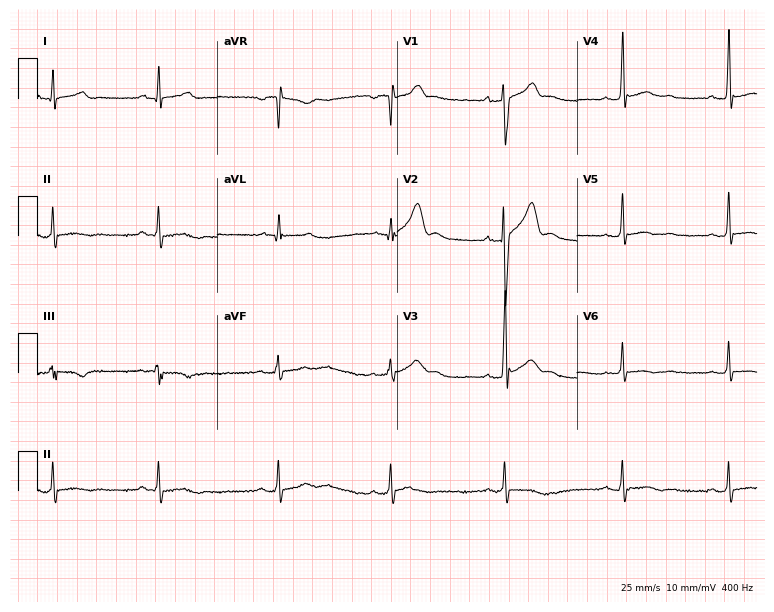
12-lead ECG (7.3-second recording at 400 Hz) from a male patient, 20 years old. Screened for six findings — first-degree AV block, right bundle branch block, left bundle branch block, sinus bradycardia, atrial fibrillation, sinus tachycardia — none is recorded.